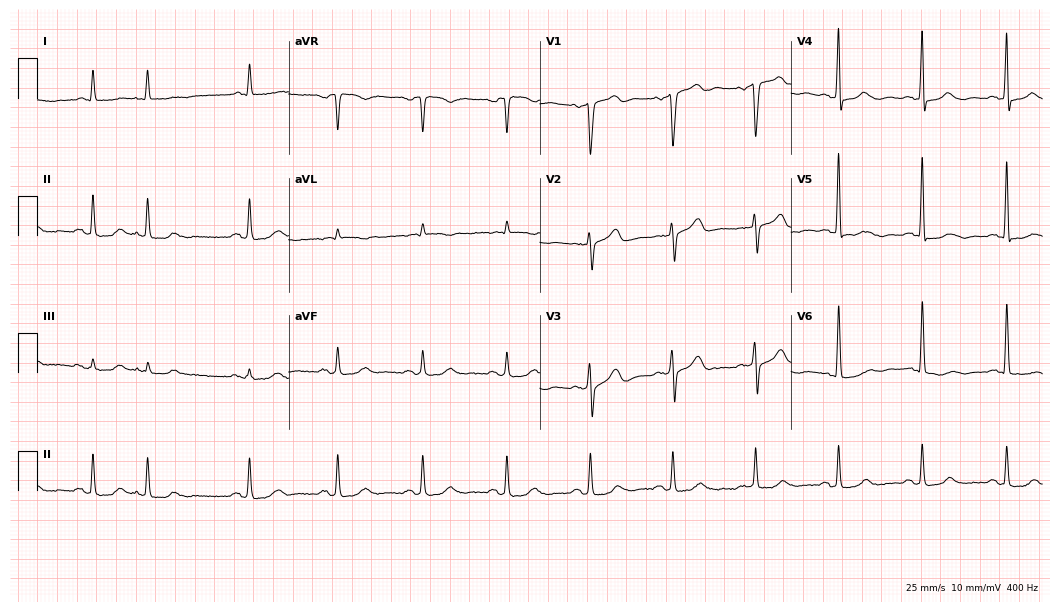
12-lead ECG from a 75-year-old man (10.2-second recording at 400 Hz). No first-degree AV block, right bundle branch block, left bundle branch block, sinus bradycardia, atrial fibrillation or sinus tachycardia recorded for this tracing. Other findings, if any, are not listed.